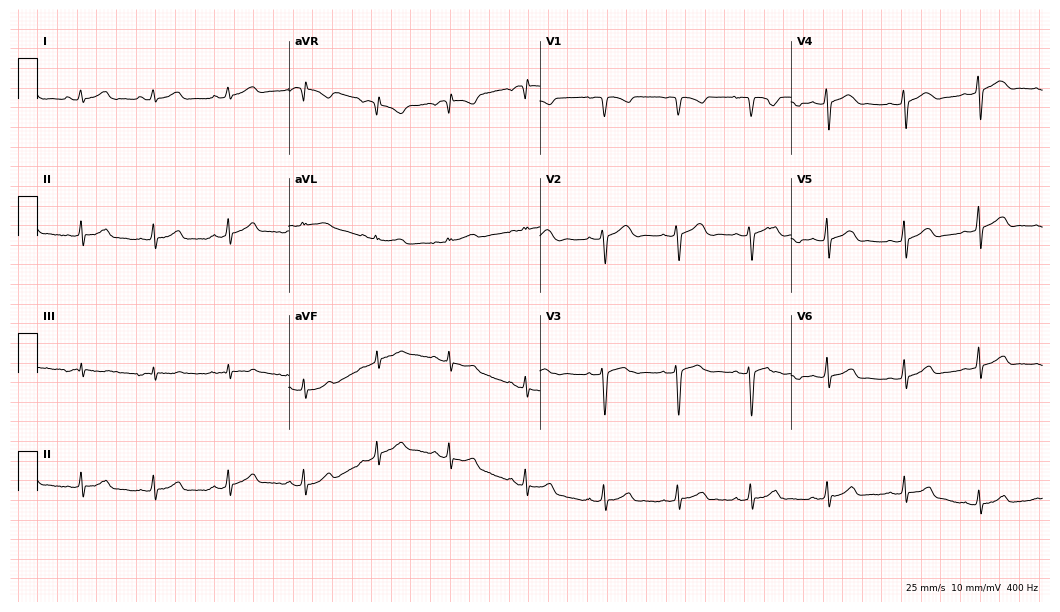
12-lead ECG from an 18-year-old woman. Recorded interpretation: within normal limits.